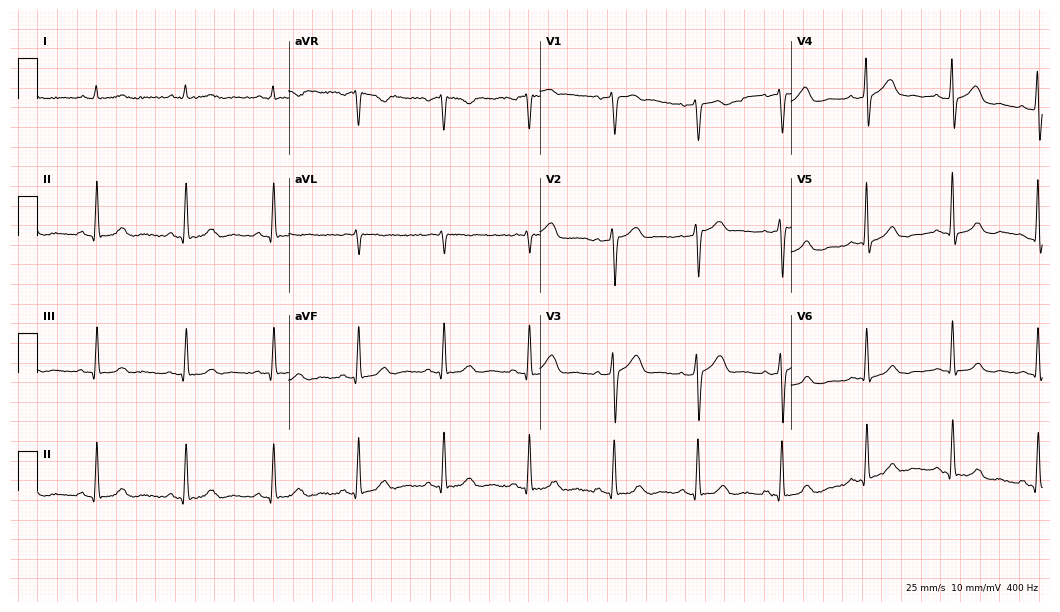
Standard 12-lead ECG recorded from a male patient, 64 years old. None of these six findings is recorded: first-degree AV block, right bundle branch block, left bundle branch block, sinus bradycardia, atrial fibrillation, sinus tachycardia. Other findings, if any, are not listed.